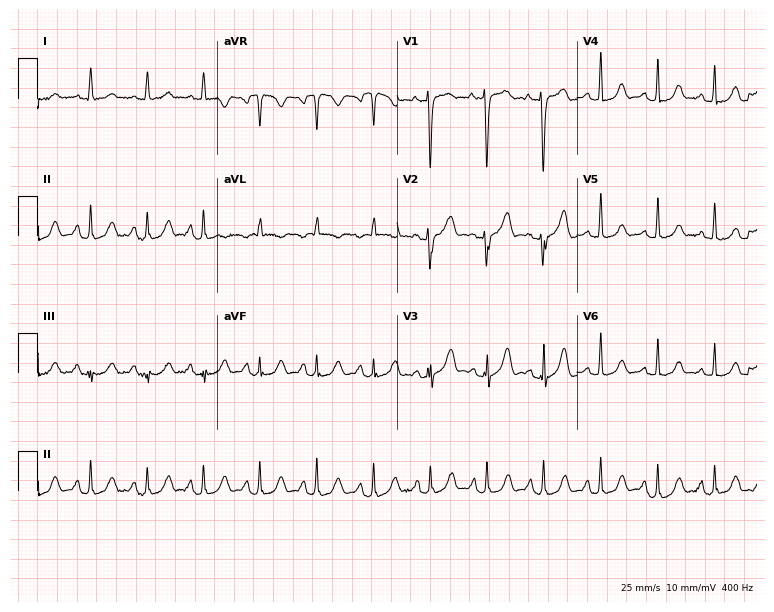
Resting 12-lead electrocardiogram (7.3-second recording at 400 Hz). Patient: a woman, 84 years old. The tracing shows sinus tachycardia (a sinus rate of 100 beats per minute or more).